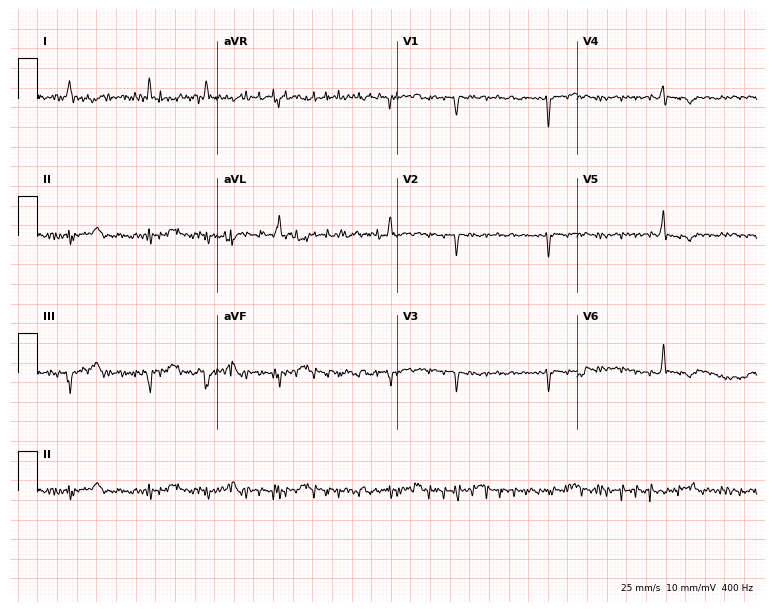
Electrocardiogram (7.3-second recording at 400 Hz), a 77-year-old male patient. Of the six screened findings (first-degree AV block, right bundle branch block, left bundle branch block, sinus bradycardia, atrial fibrillation, sinus tachycardia), none is recorded.